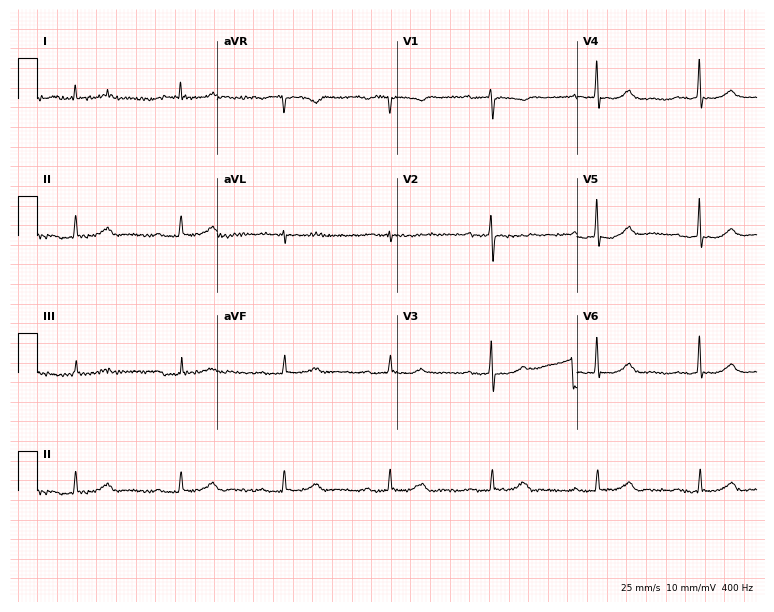
ECG (7.3-second recording at 400 Hz) — a 74-year-old woman. Labelled as a normal ECG.